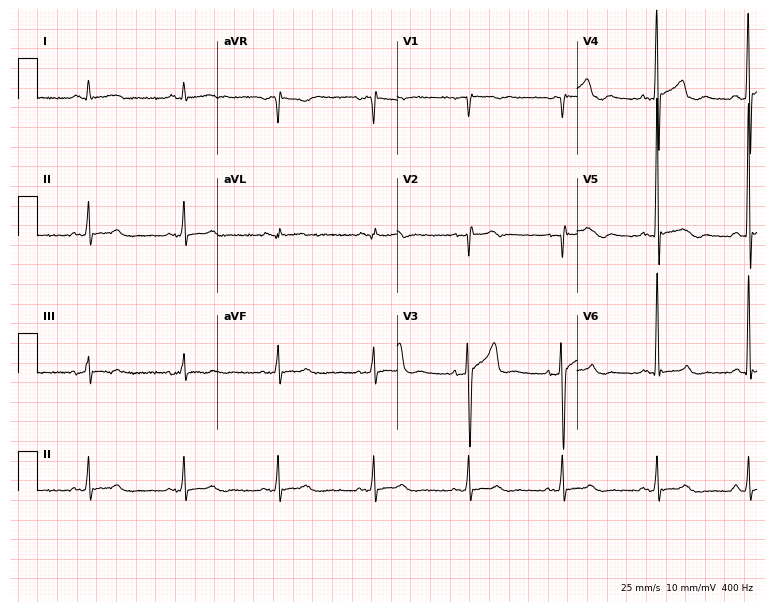
12-lead ECG from a man, 44 years old. Recorded interpretation: within normal limits.